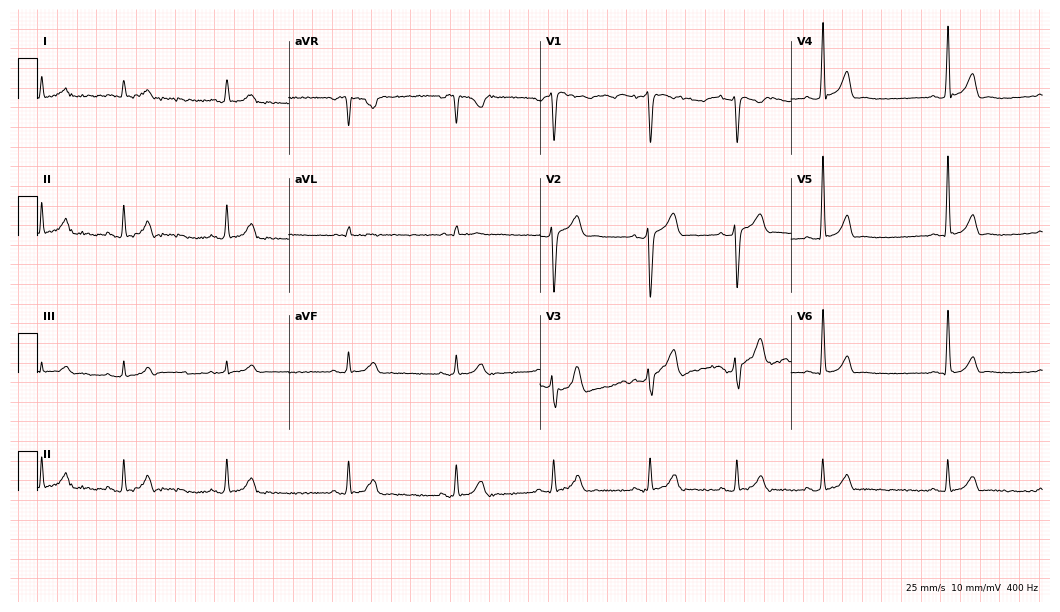
Standard 12-lead ECG recorded from a man, 23 years old (10.2-second recording at 400 Hz). Read as a normal ECG.